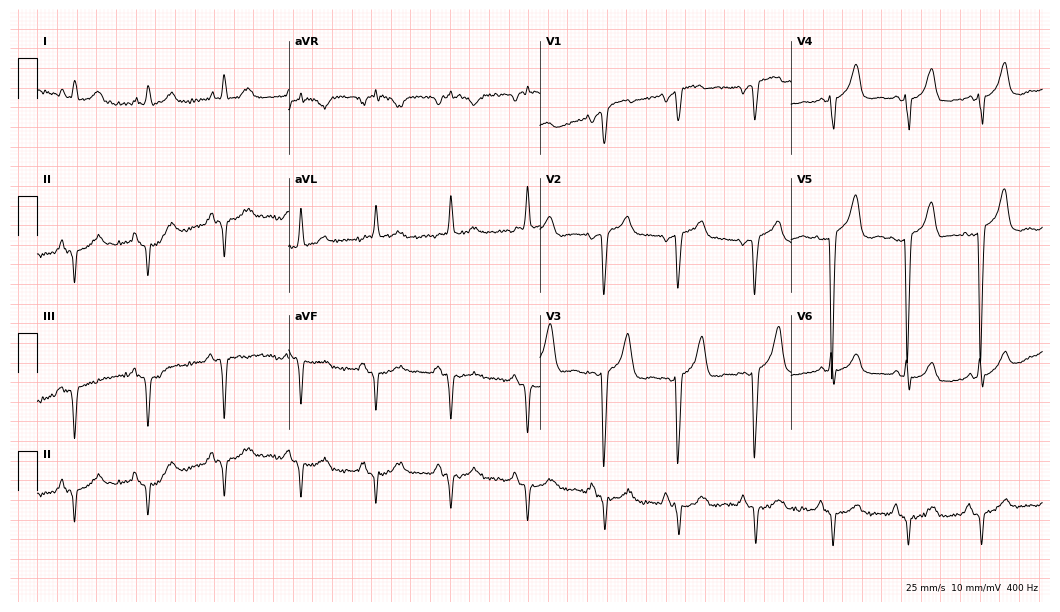
Electrocardiogram (10.2-second recording at 400 Hz), a female patient, 84 years old. Of the six screened findings (first-degree AV block, right bundle branch block, left bundle branch block, sinus bradycardia, atrial fibrillation, sinus tachycardia), none is recorded.